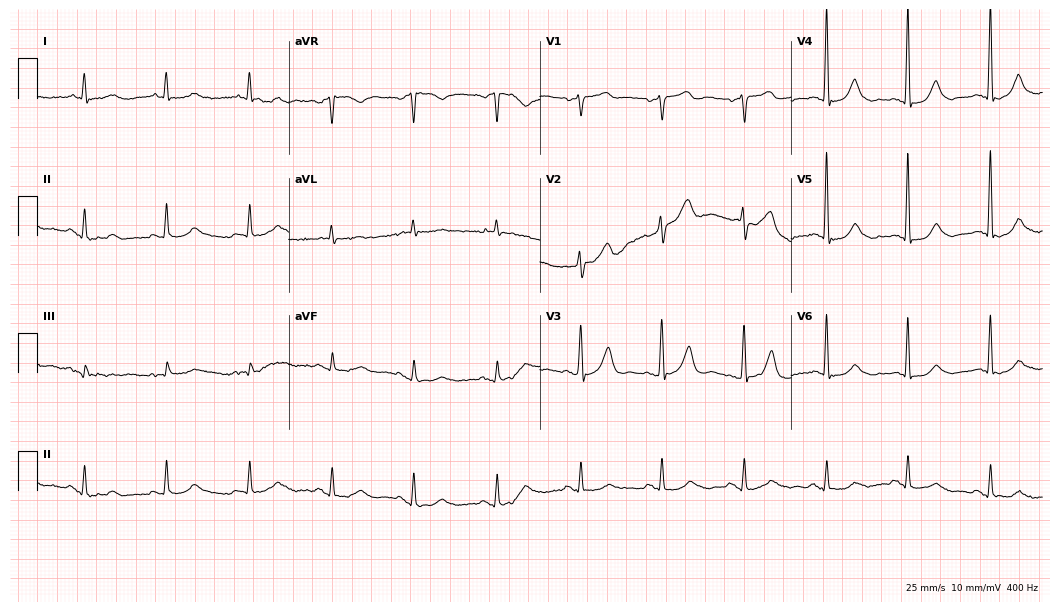
Electrocardiogram (10.2-second recording at 400 Hz), a 79-year-old male patient. Overall reading on record: normal ECG.